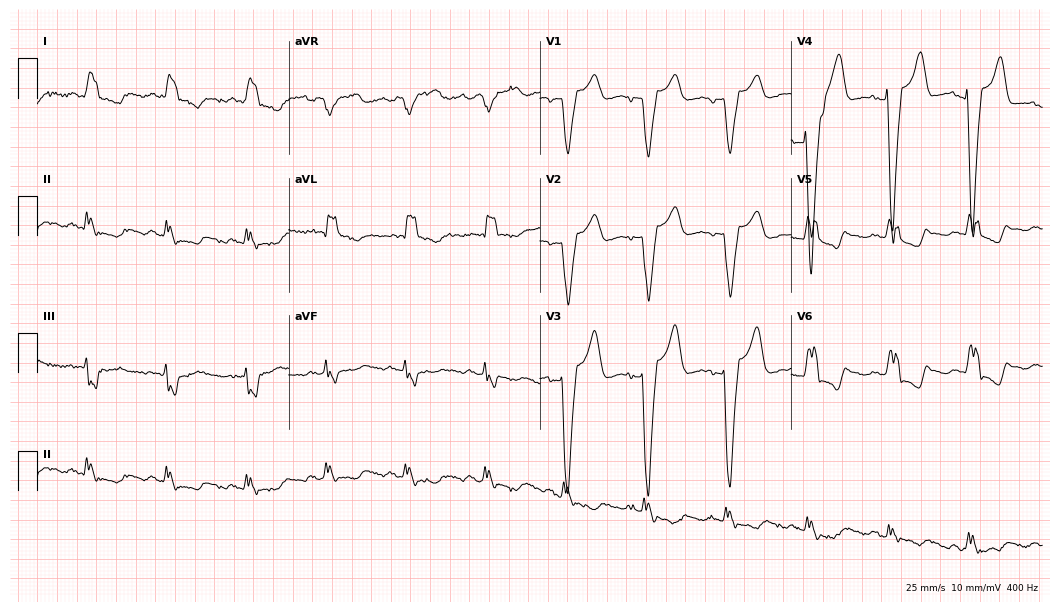
Standard 12-lead ECG recorded from a female, 78 years old (10.2-second recording at 400 Hz). The tracing shows left bundle branch block (LBBB).